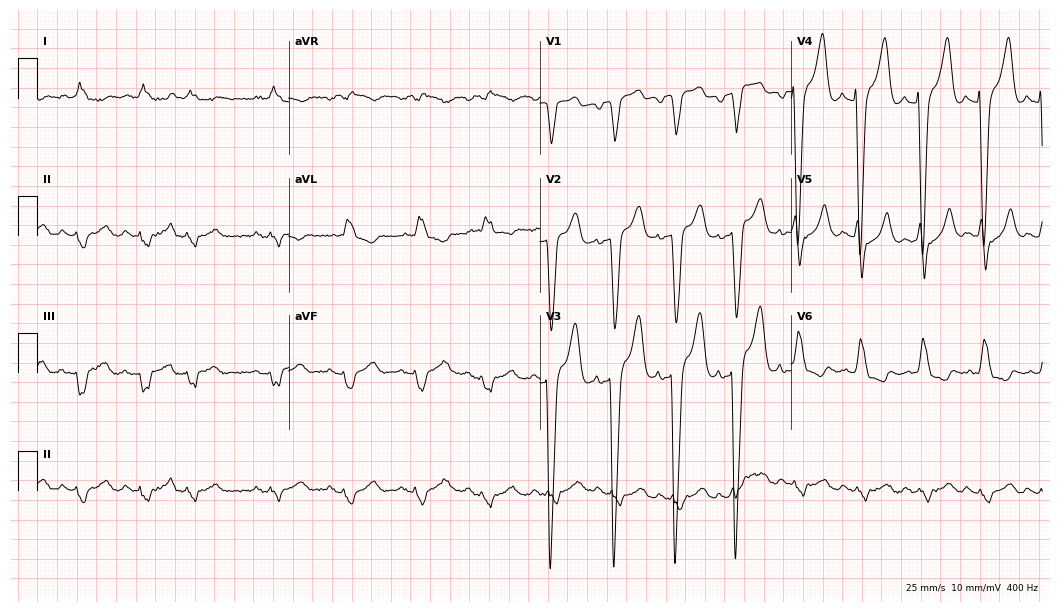
12-lead ECG from a 60-year-old man. Shows left bundle branch block.